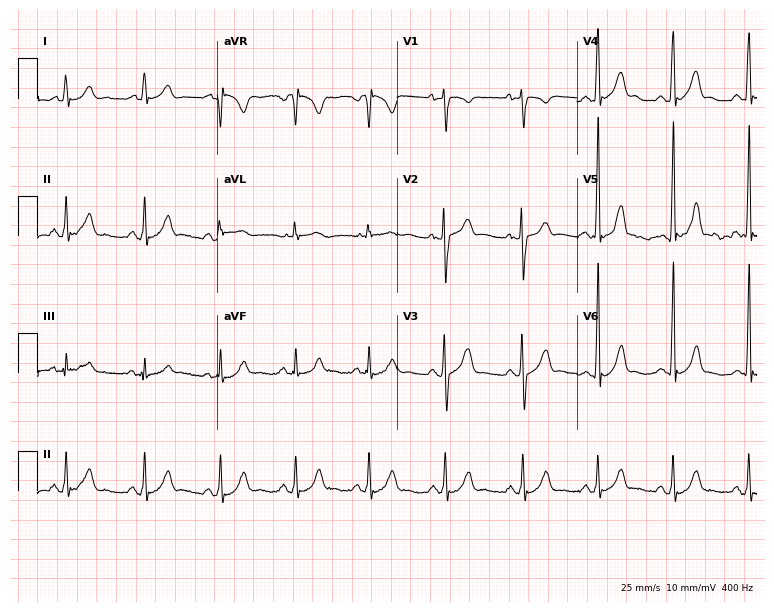
Resting 12-lead electrocardiogram. Patient: a 21-year-old man. Read as a normal ECG.